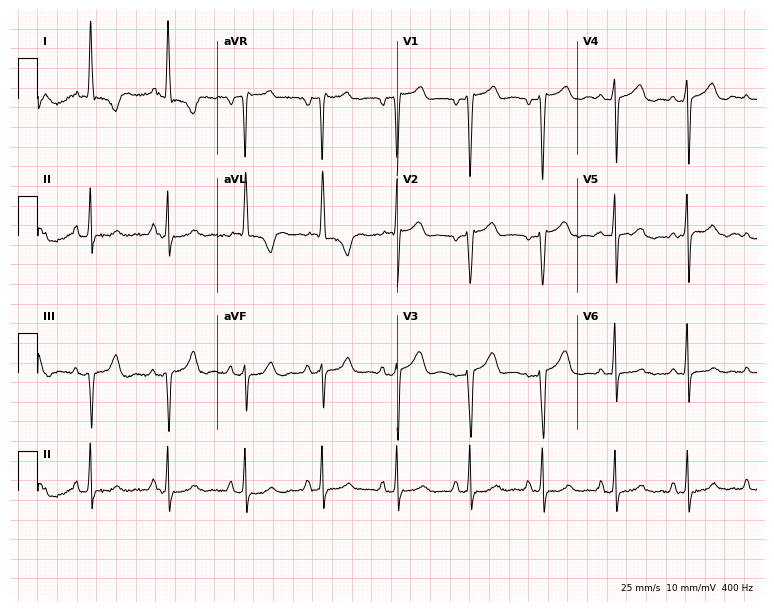
Resting 12-lead electrocardiogram (7.3-second recording at 400 Hz). Patient: a female, 48 years old. None of these six findings is recorded: first-degree AV block, right bundle branch block, left bundle branch block, sinus bradycardia, atrial fibrillation, sinus tachycardia. Only these six findings were labelled.